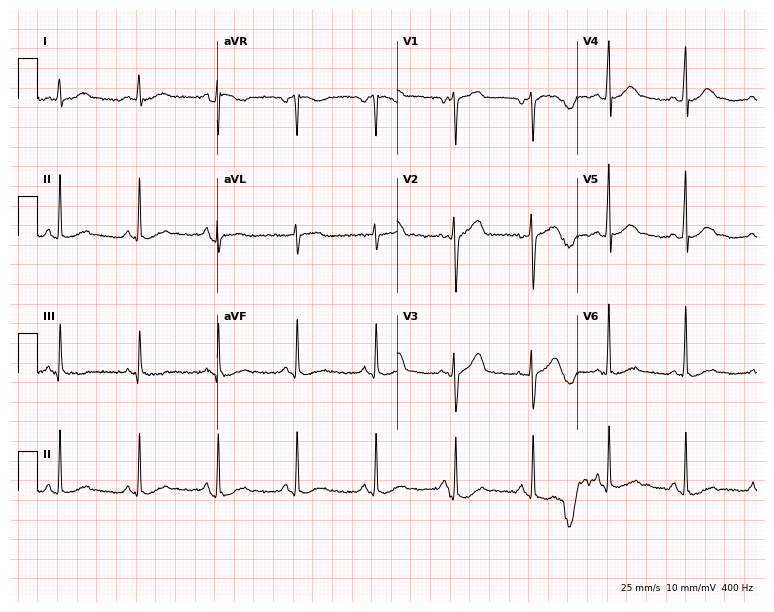
12-lead ECG (7.3-second recording at 400 Hz) from a male, 52 years old. Screened for six findings — first-degree AV block, right bundle branch block, left bundle branch block, sinus bradycardia, atrial fibrillation, sinus tachycardia — none is recorded.